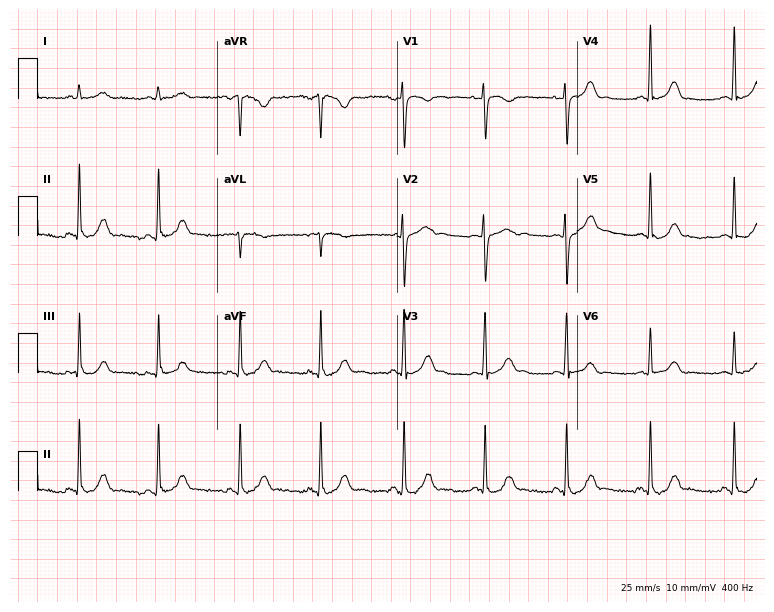
Electrocardiogram, a 28-year-old female patient. Overall reading on record: normal ECG.